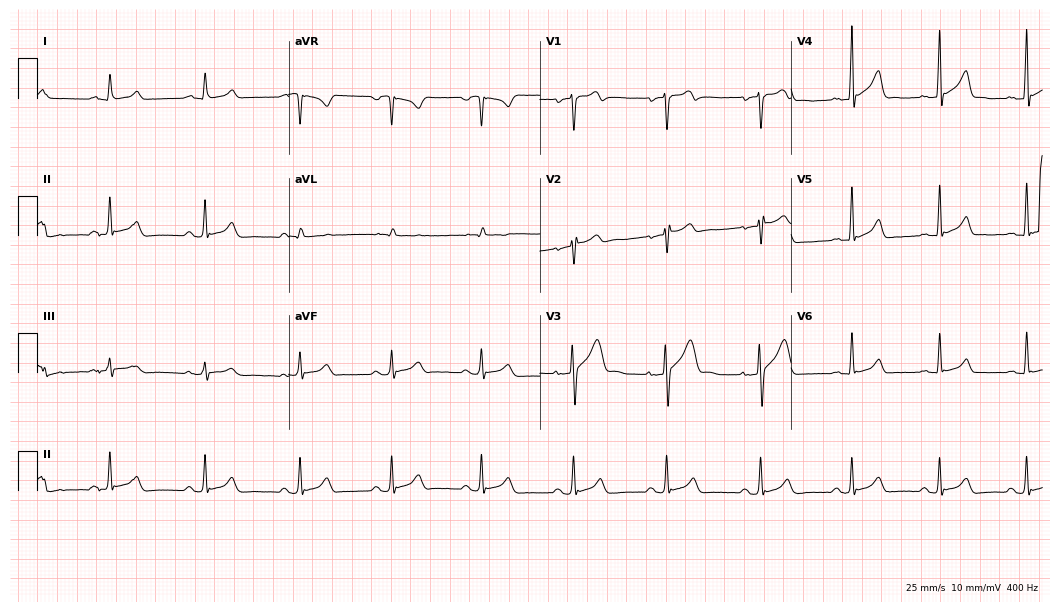
ECG — a 28-year-old man. Screened for six findings — first-degree AV block, right bundle branch block, left bundle branch block, sinus bradycardia, atrial fibrillation, sinus tachycardia — none is recorded.